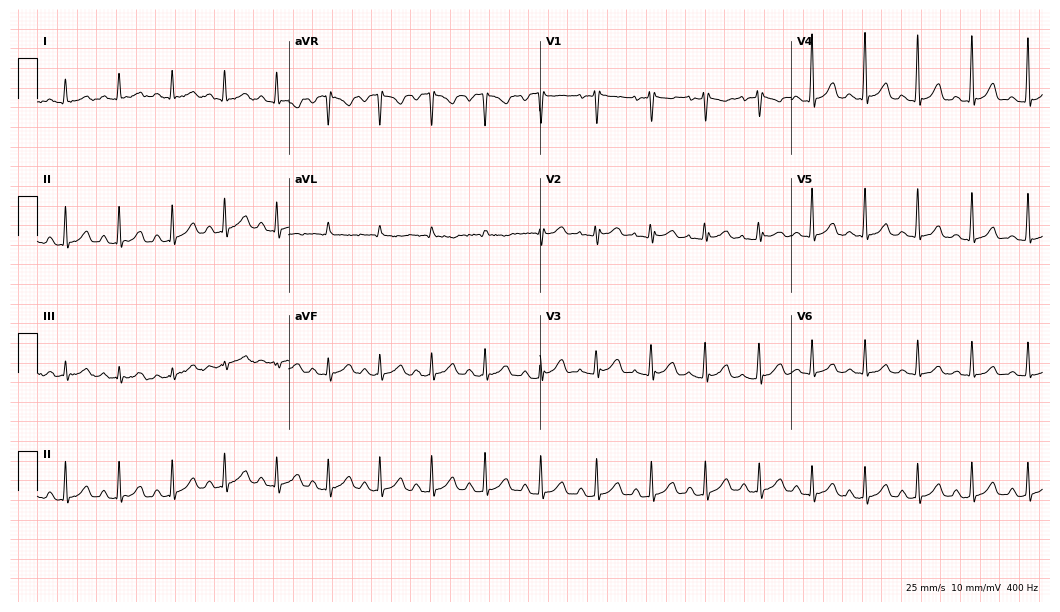
Electrocardiogram (10.2-second recording at 400 Hz), a female, 23 years old. Of the six screened findings (first-degree AV block, right bundle branch block, left bundle branch block, sinus bradycardia, atrial fibrillation, sinus tachycardia), none is recorded. Findings outside these six are not listed.